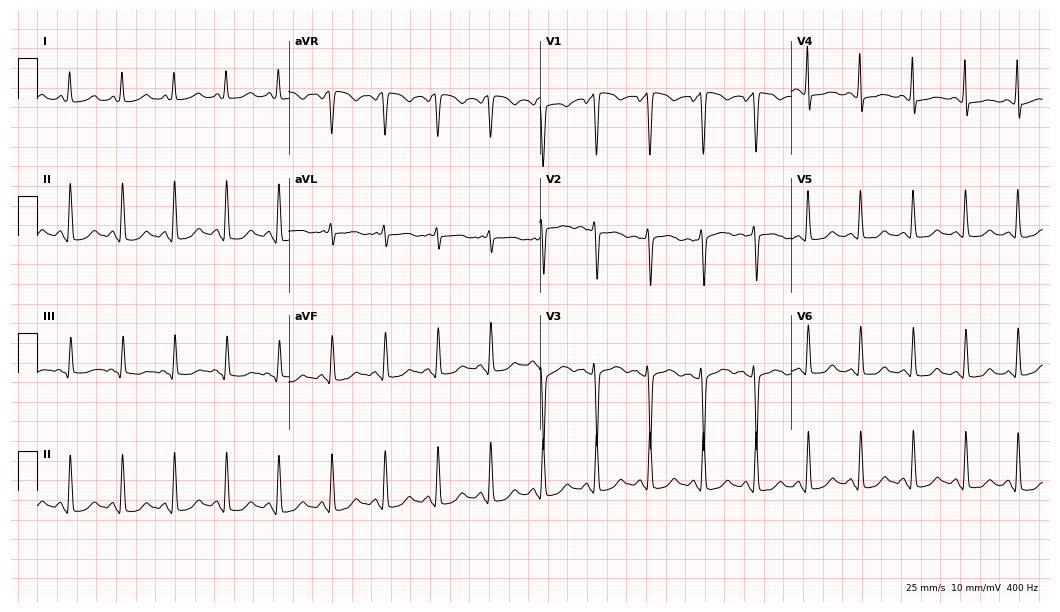
Electrocardiogram, a 33-year-old female patient. Of the six screened findings (first-degree AV block, right bundle branch block, left bundle branch block, sinus bradycardia, atrial fibrillation, sinus tachycardia), none is recorded. Findings outside these six are not listed.